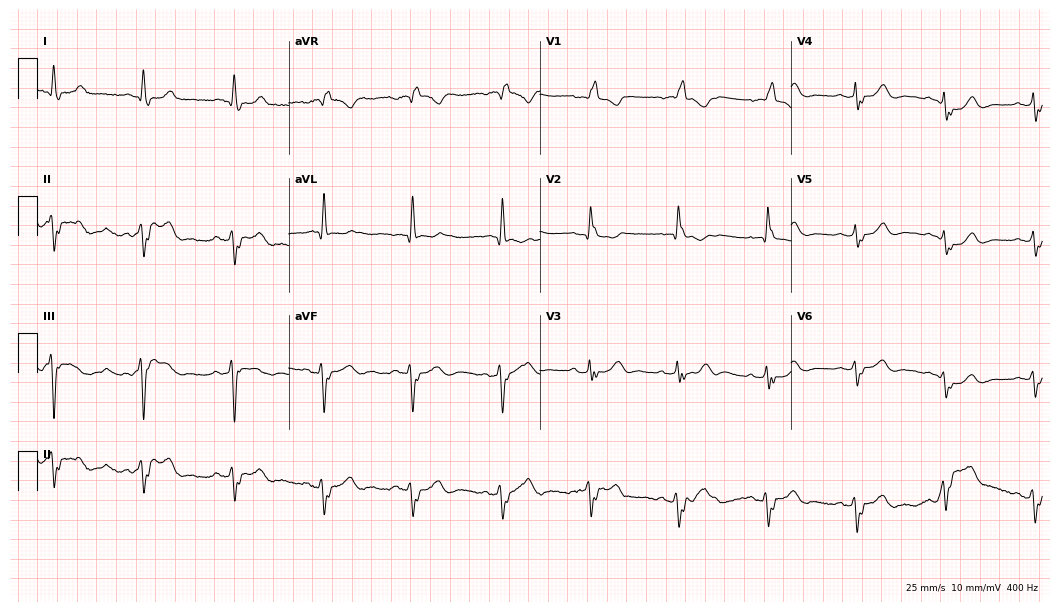
Resting 12-lead electrocardiogram. Patient: a female, 76 years old. The tracing shows right bundle branch block.